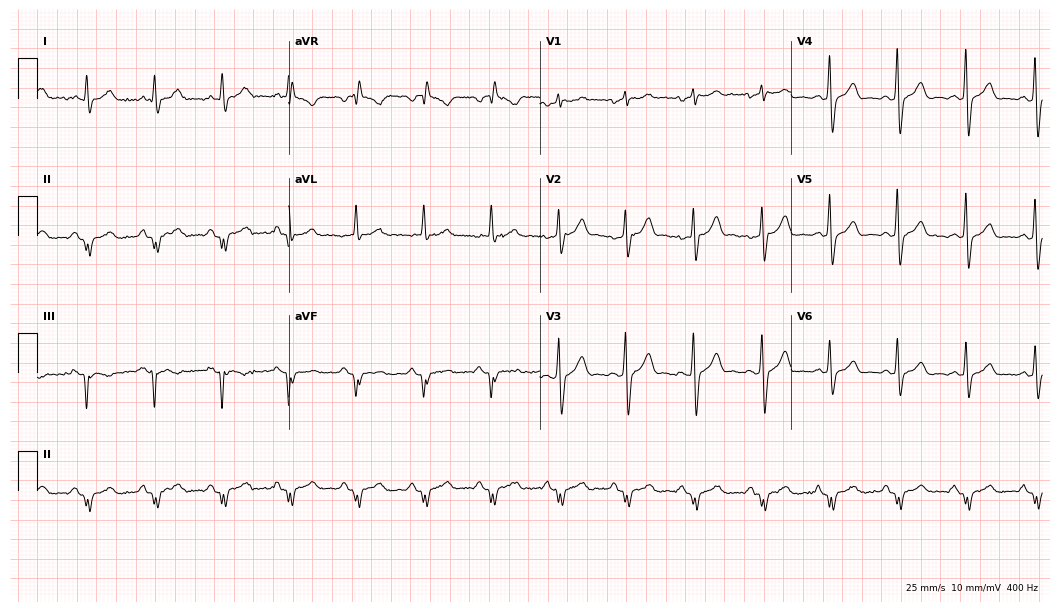
Electrocardiogram (10.2-second recording at 400 Hz), a 73-year-old male patient. Of the six screened findings (first-degree AV block, right bundle branch block (RBBB), left bundle branch block (LBBB), sinus bradycardia, atrial fibrillation (AF), sinus tachycardia), none is recorded.